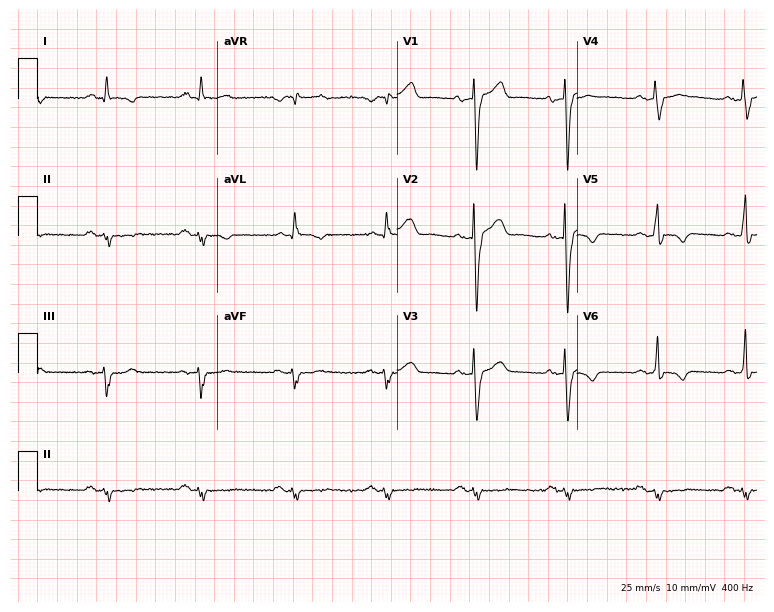
12-lead ECG (7.3-second recording at 400 Hz) from a male patient, 38 years old. Screened for six findings — first-degree AV block, right bundle branch block (RBBB), left bundle branch block (LBBB), sinus bradycardia, atrial fibrillation (AF), sinus tachycardia — none is recorded.